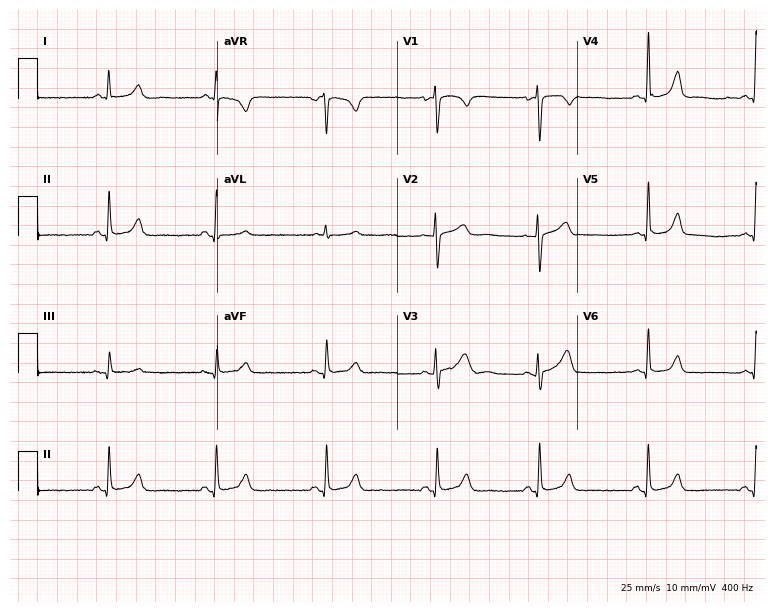
Standard 12-lead ECG recorded from a 33-year-old female patient. None of these six findings is recorded: first-degree AV block, right bundle branch block (RBBB), left bundle branch block (LBBB), sinus bradycardia, atrial fibrillation (AF), sinus tachycardia. Findings outside these six are not listed.